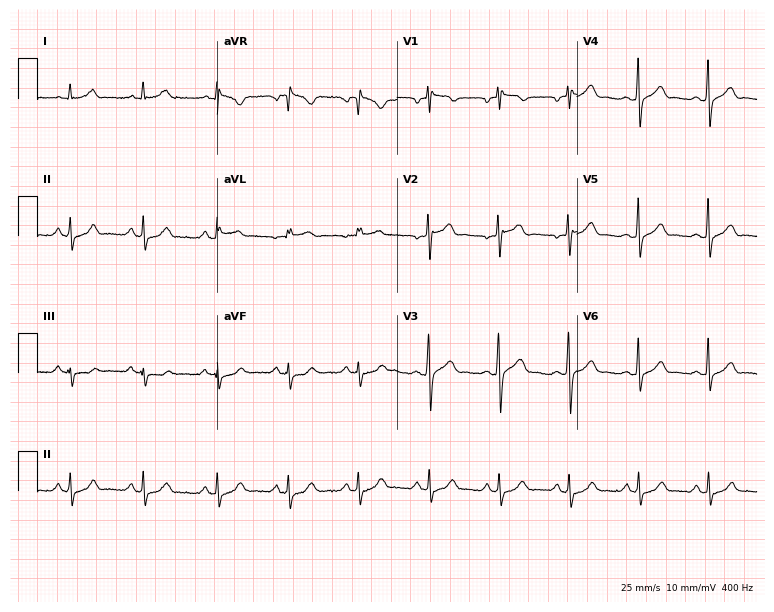
Standard 12-lead ECG recorded from a male patient, 33 years old (7.3-second recording at 400 Hz). Read as a normal ECG.